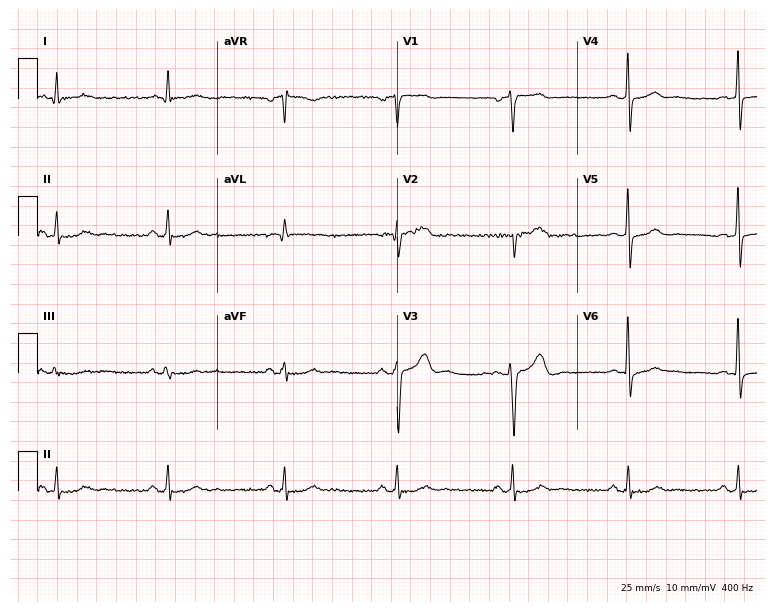
Standard 12-lead ECG recorded from a 64-year-old male (7.3-second recording at 400 Hz). None of these six findings is recorded: first-degree AV block, right bundle branch block, left bundle branch block, sinus bradycardia, atrial fibrillation, sinus tachycardia. Other findings, if any, are not listed.